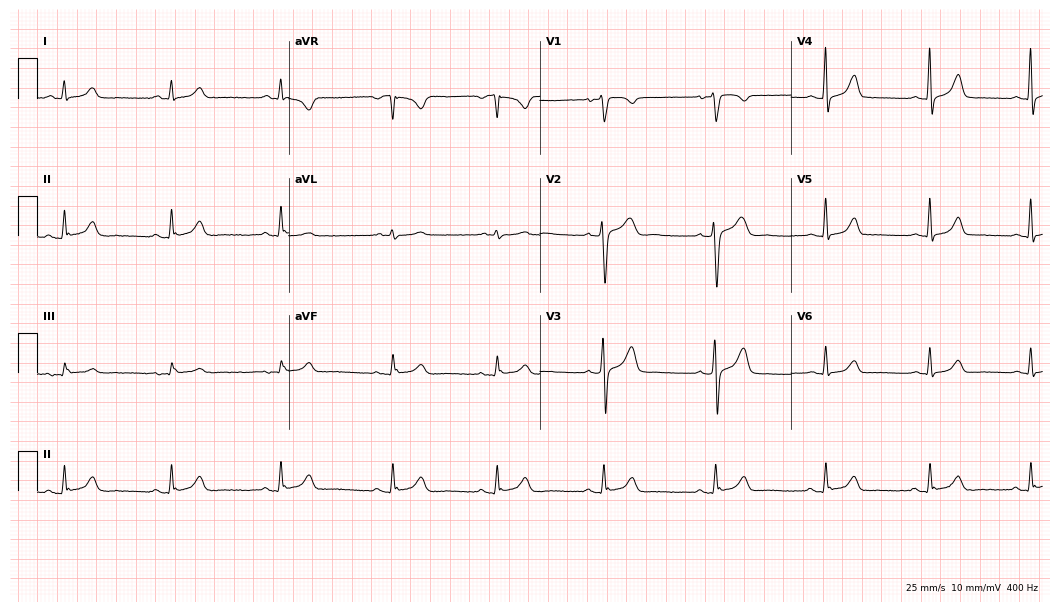
12-lead ECG from a 47-year-old female. Screened for six findings — first-degree AV block, right bundle branch block, left bundle branch block, sinus bradycardia, atrial fibrillation, sinus tachycardia — none is recorded. Only these six findings were labelled.